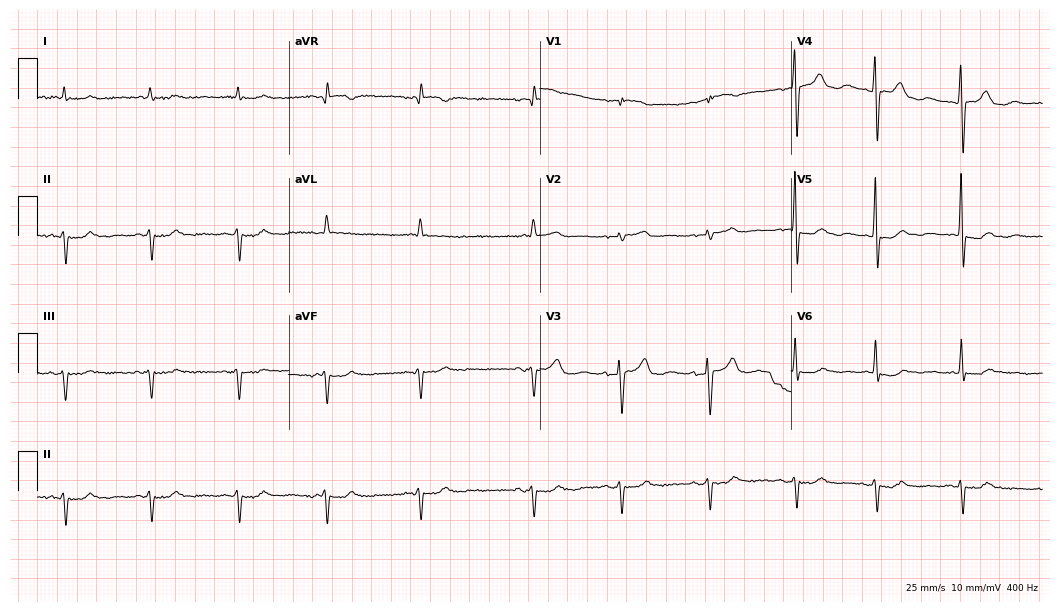
ECG — a 65-year-old male patient. Screened for six findings — first-degree AV block, right bundle branch block, left bundle branch block, sinus bradycardia, atrial fibrillation, sinus tachycardia — none is recorded. Findings outside these six are not listed.